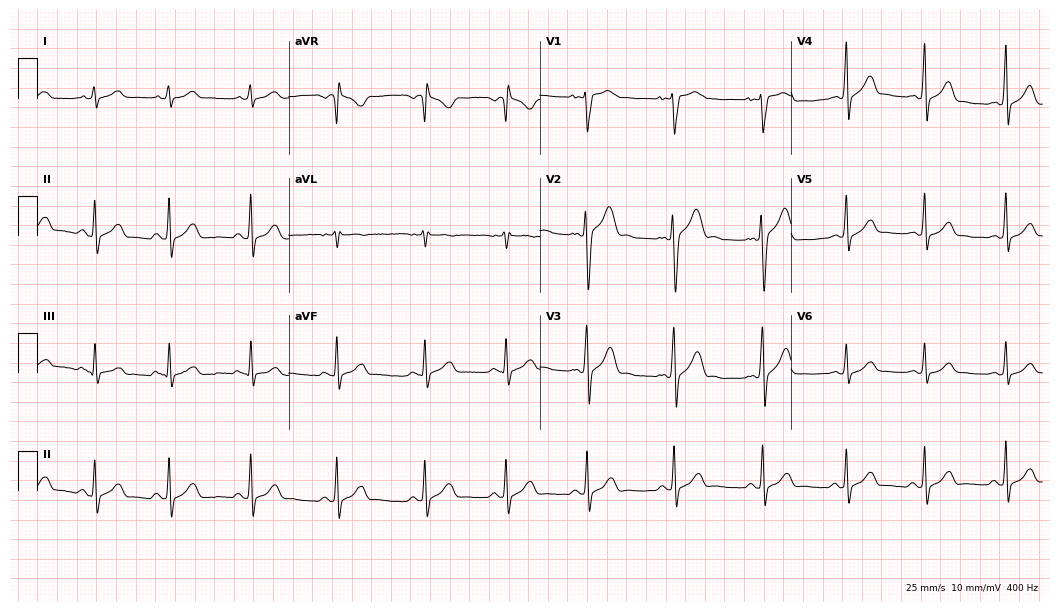
Electrocardiogram (10.2-second recording at 400 Hz), a male, 19 years old. Overall reading on record: normal ECG.